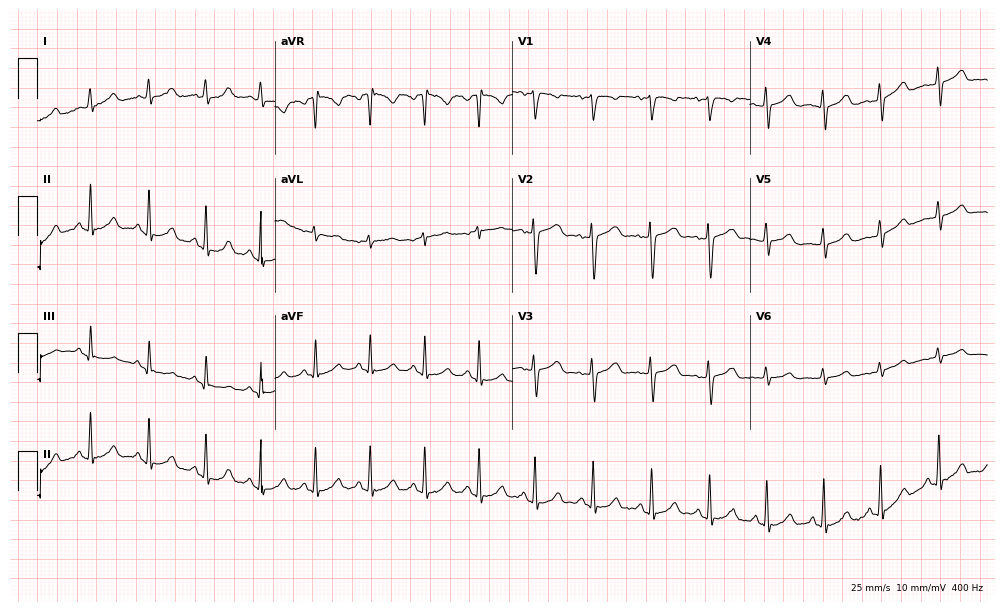
12-lead ECG from a female, 57 years old. Shows sinus tachycardia (a sinus rate of 100 beats per minute or more).